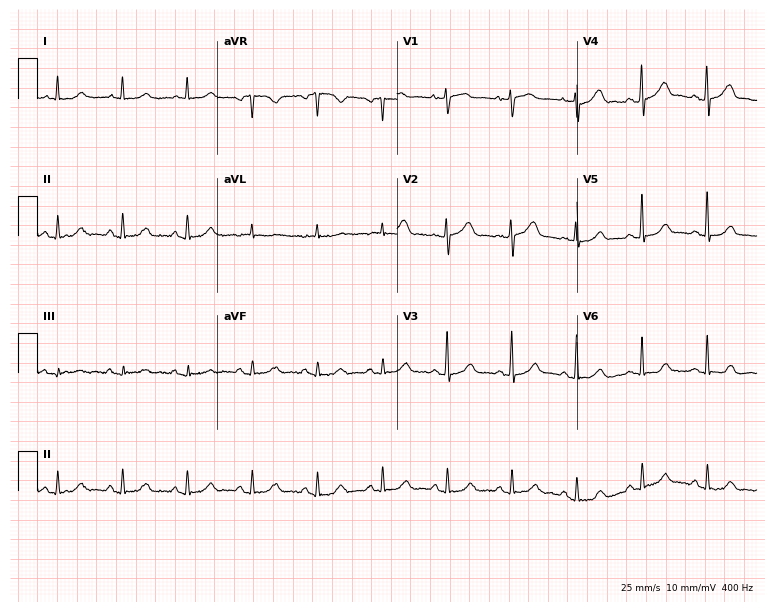
Electrocardiogram (7.3-second recording at 400 Hz), a female, 66 years old. Of the six screened findings (first-degree AV block, right bundle branch block, left bundle branch block, sinus bradycardia, atrial fibrillation, sinus tachycardia), none is recorded.